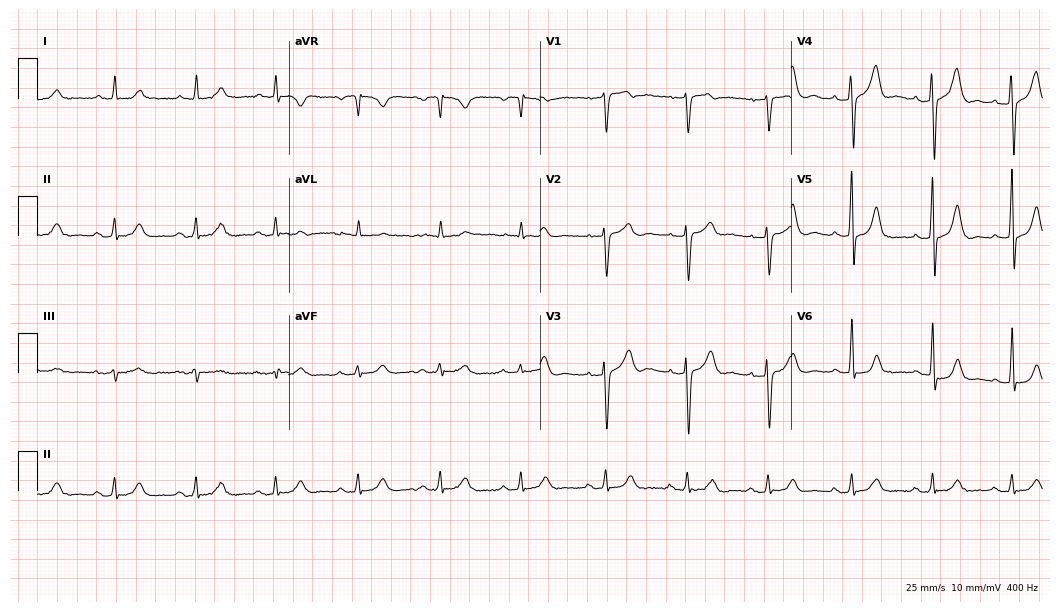
ECG — an 80-year-old male. Labelled as a normal ECG.